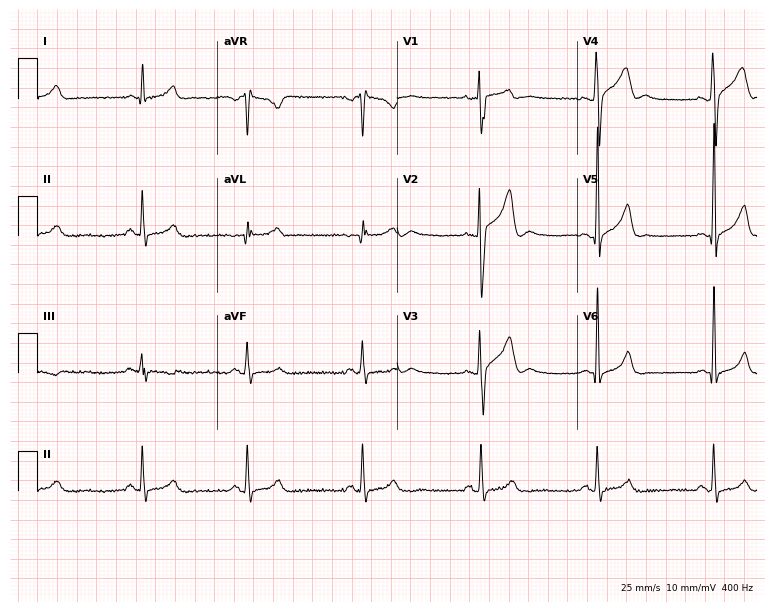
12-lead ECG from a 21-year-old male patient. Screened for six findings — first-degree AV block, right bundle branch block (RBBB), left bundle branch block (LBBB), sinus bradycardia, atrial fibrillation (AF), sinus tachycardia — none is recorded. Only these six findings were labelled.